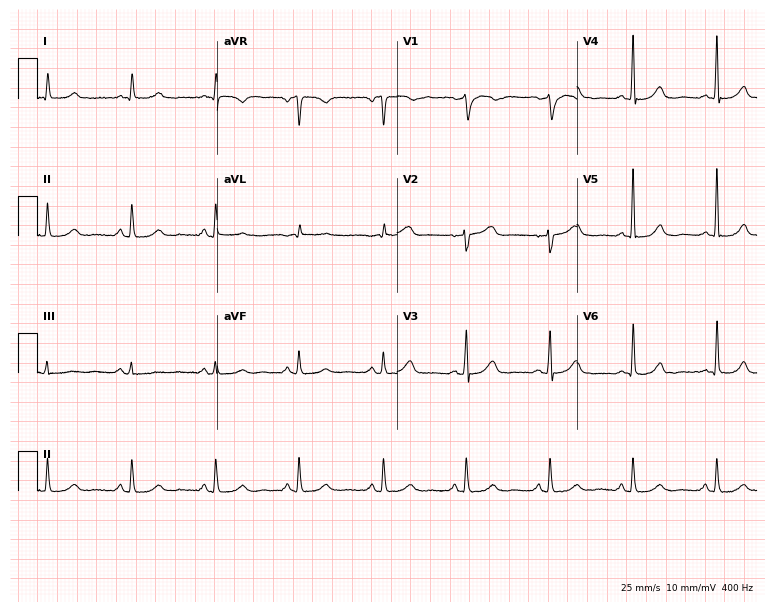
Resting 12-lead electrocardiogram. Patient: a female, 82 years old. Read as a normal ECG.